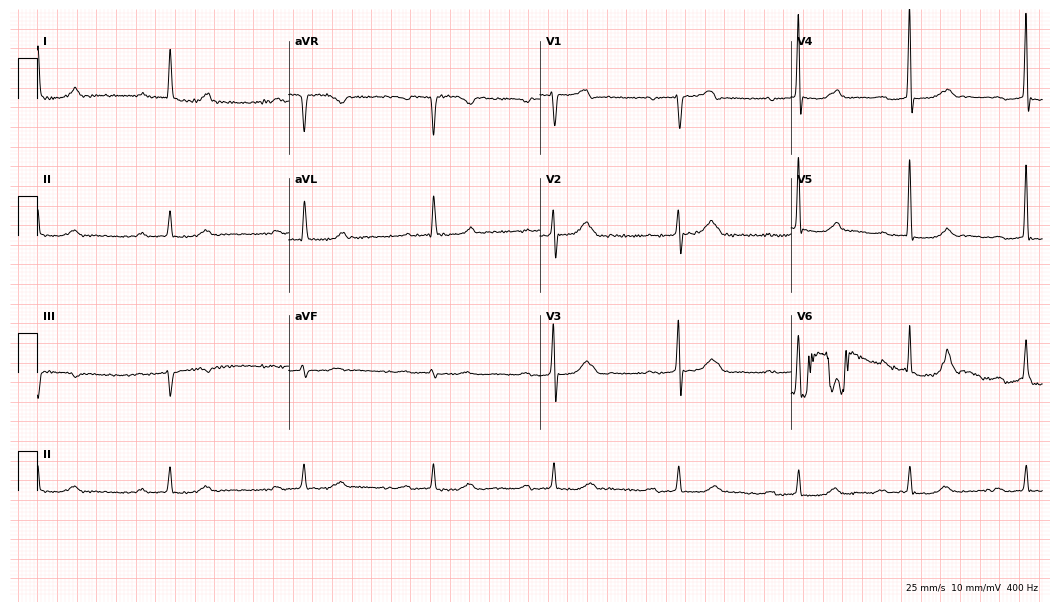
12-lead ECG (10.2-second recording at 400 Hz) from a 64-year-old male patient. Findings include first-degree AV block, sinus bradycardia (a sinus rate of 50 beats per minute or less).